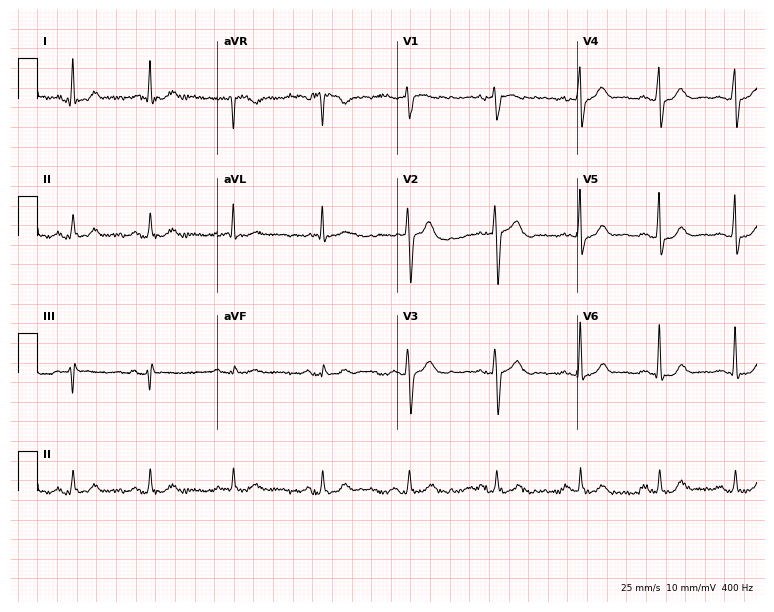
ECG (7.3-second recording at 400 Hz) — a male, 46 years old. Labelled as a normal ECG.